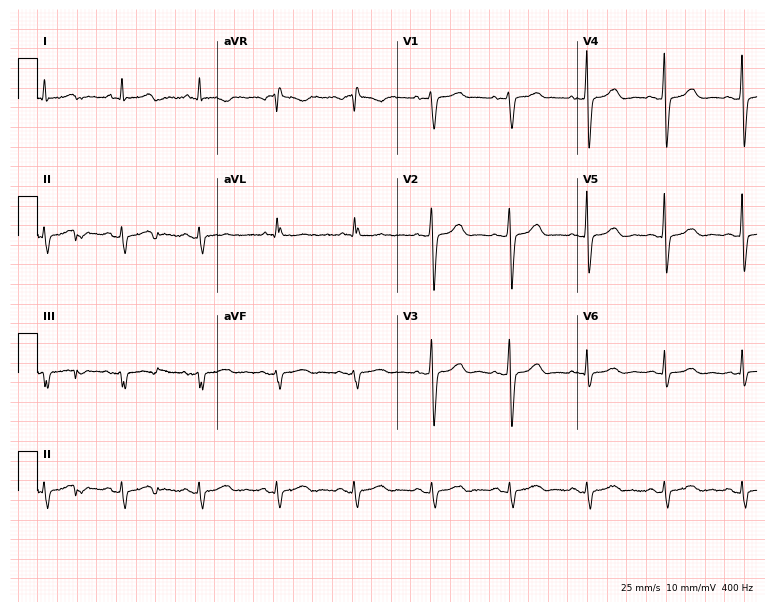
Resting 12-lead electrocardiogram (7.3-second recording at 400 Hz). Patient: a man, 20 years old. None of these six findings is recorded: first-degree AV block, right bundle branch block, left bundle branch block, sinus bradycardia, atrial fibrillation, sinus tachycardia.